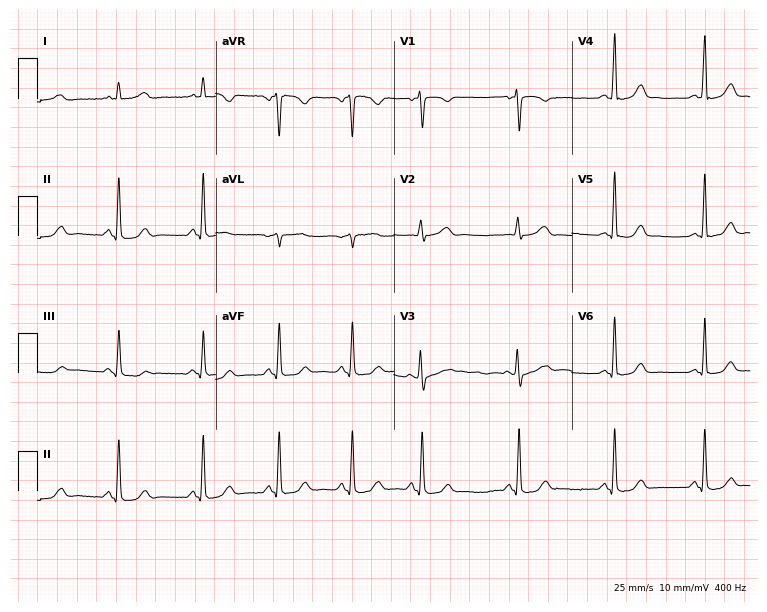
Standard 12-lead ECG recorded from a 30-year-old female patient. Read as a normal ECG.